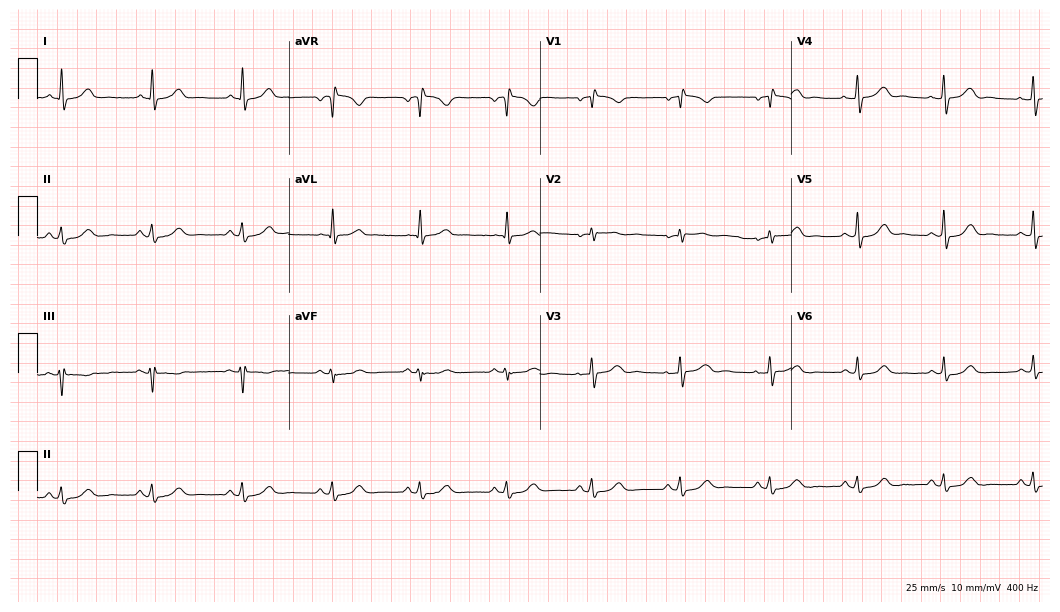
Resting 12-lead electrocardiogram (10.2-second recording at 400 Hz). Patient: a 52-year-old woman. None of these six findings is recorded: first-degree AV block, right bundle branch block (RBBB), left bundle branch block (LBBB), sinus bradycardia, atrial fibrillation (AF), sinus tachycardia. Findings outside these six are not listed.